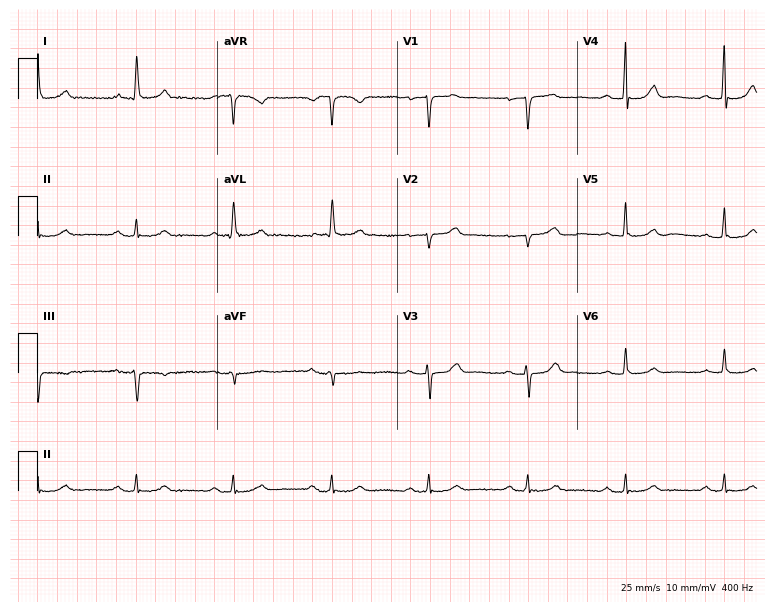
12-lead ECG from a 76-year-old woman (7.3-second recording at 400 Hz). Recorded interpretation: within normal limits.